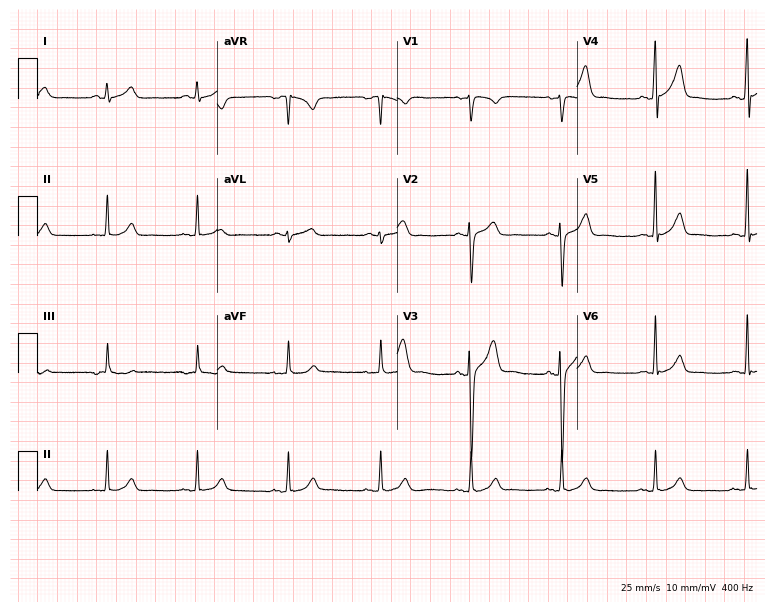
ECG (7.3-second recording at 400 Hz) — a male, 25 years old. Labelled as a normal ECG.